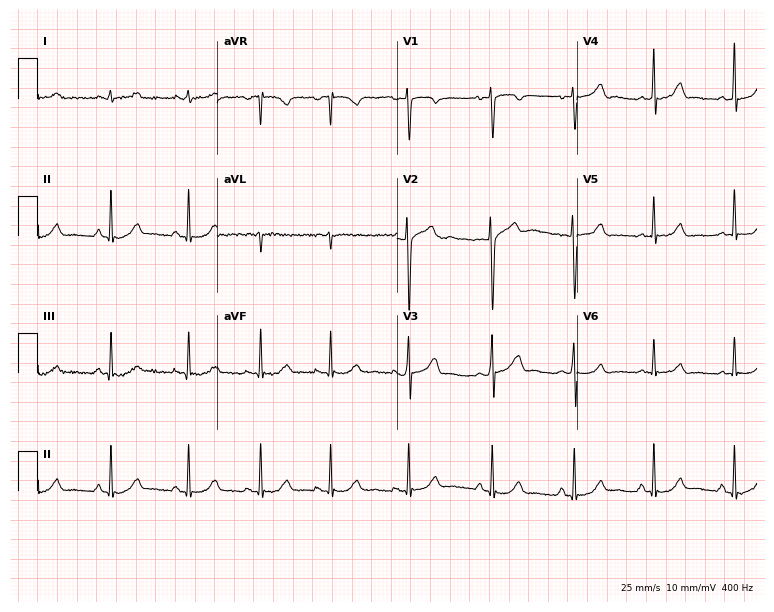
12-lead ECG (7.3-second recording at 400 Hz) from a woman, 24 years old. Labelled as a normal ECG.